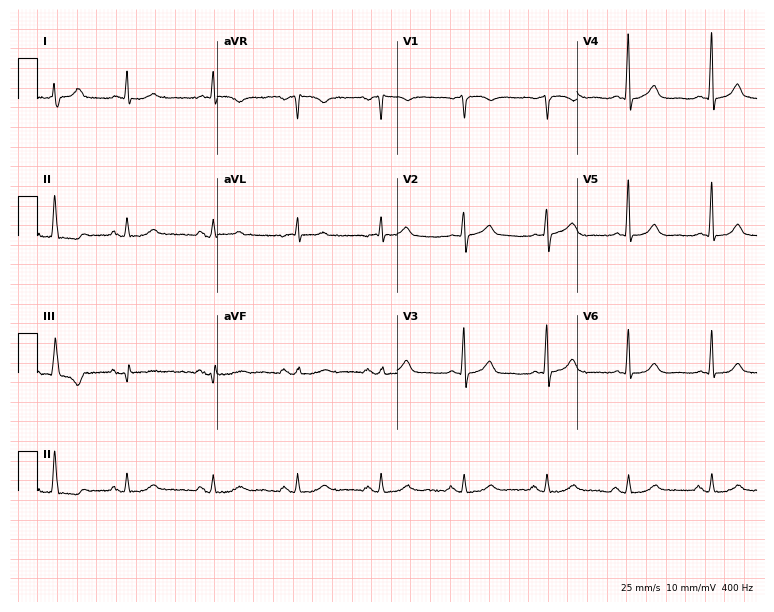
12-lead ECG from a man, 74 years old. Labelled as a normal ECG.